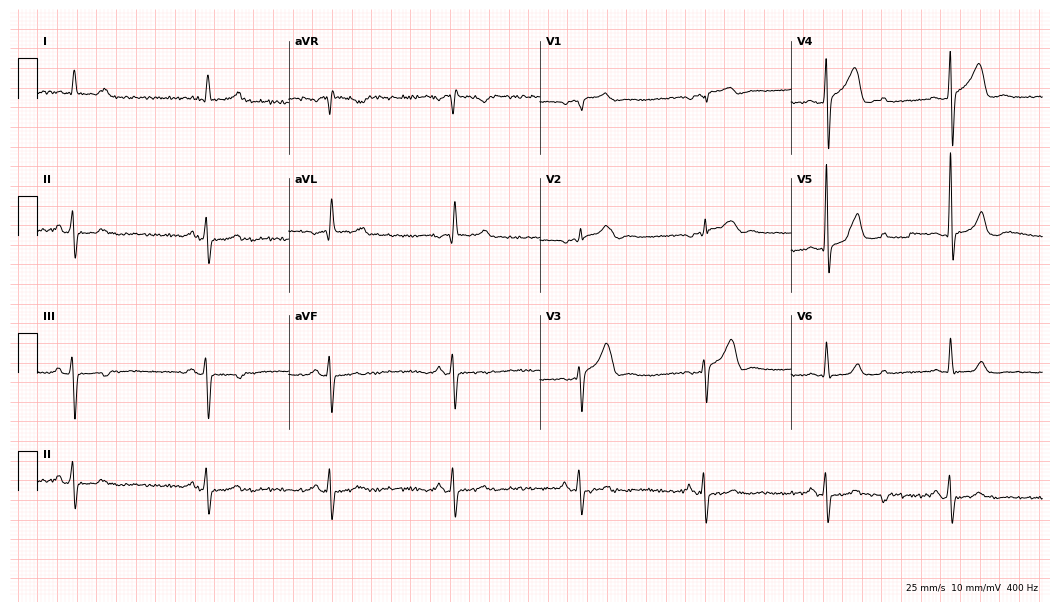
Resting 12-lead electrocardiogram (10.2-second recording at 400 Hz). Patient: a 51-year-old male. The tracing shows sinus bradycardia (a sinus rate of 50 beats per minute or less).